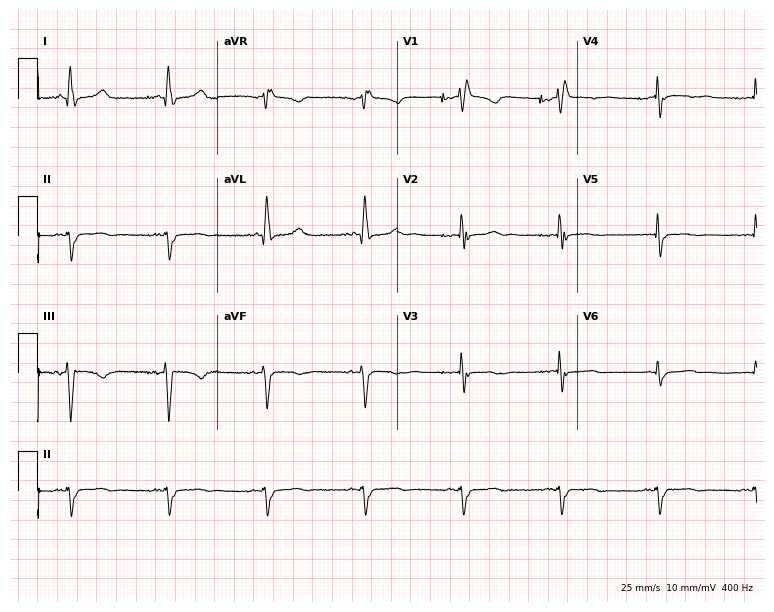
Standard 12-lead ECG recorded from a 73-year-old female (7.3-second recording at 400 Hz). The tracing shows right bundle branch block.